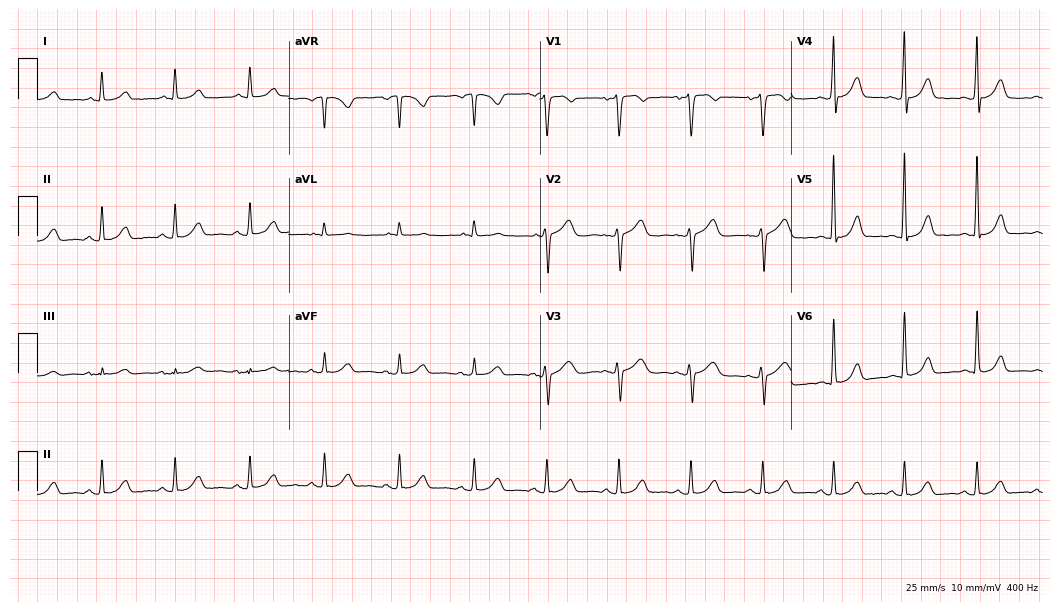
12-lead ECG from a 60-year-old woman (10.2-second recording at 400 Hz). Recorded interpretation: within normal limits.